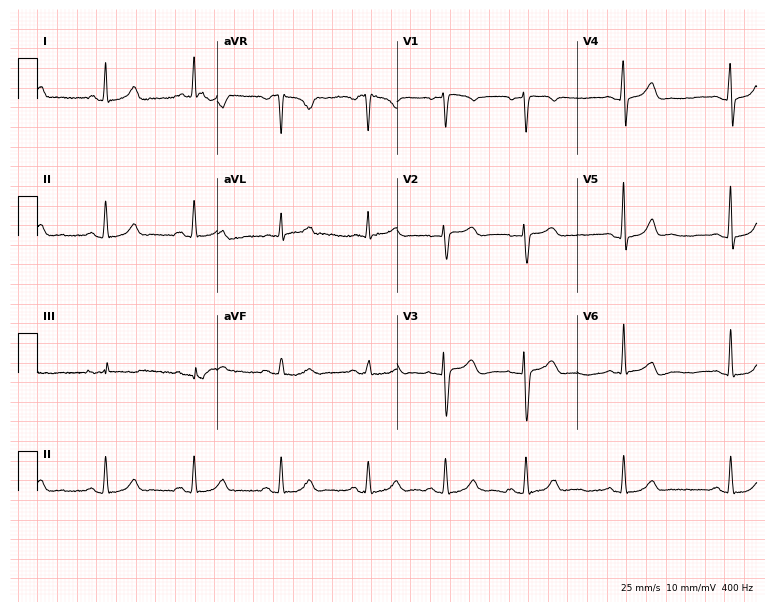
Resting 12-lead electrocardiogram. Patient: a female, 38 years old. Read as a normal ECG.